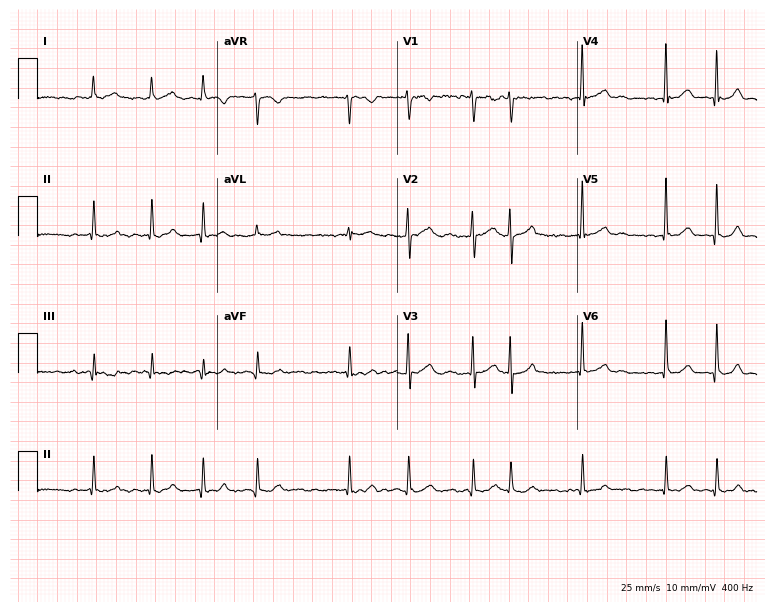
Resting 12-lead electrocardiogram (7.3-second recording at 400 Hz). Patient: a female, 57 years old. The tracing shows atrial fibrillation (AF).